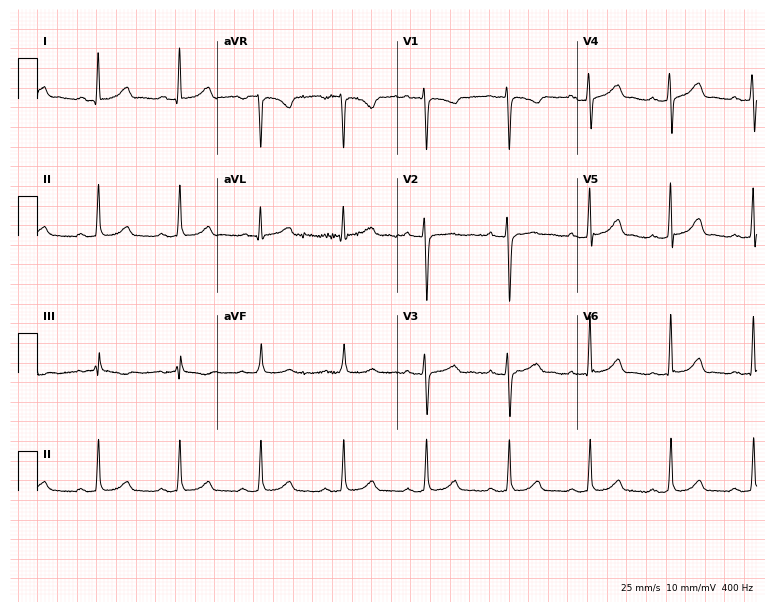
12-lead ECG (7.3-second recording at 400 Hz) from a 35-year-old female. Screened for six findings — first-degree AV block, right bundle branch block, left bundle branch block, sinus bradycardia, atrial fibrillation, sinus tachycardia — none is recorded.